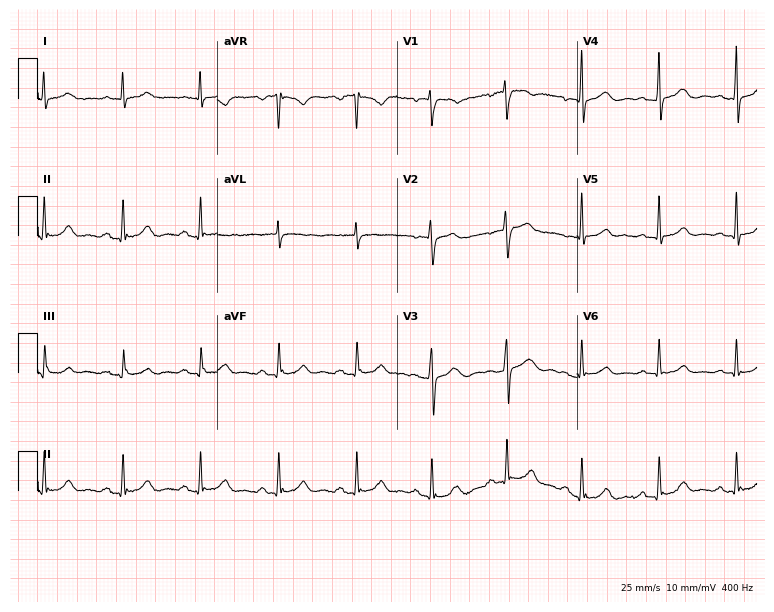
Electrocardiogram (7.3-second recording at 400 Hz), a 50-year-old female patient. Overall reading on record: normal ECG.